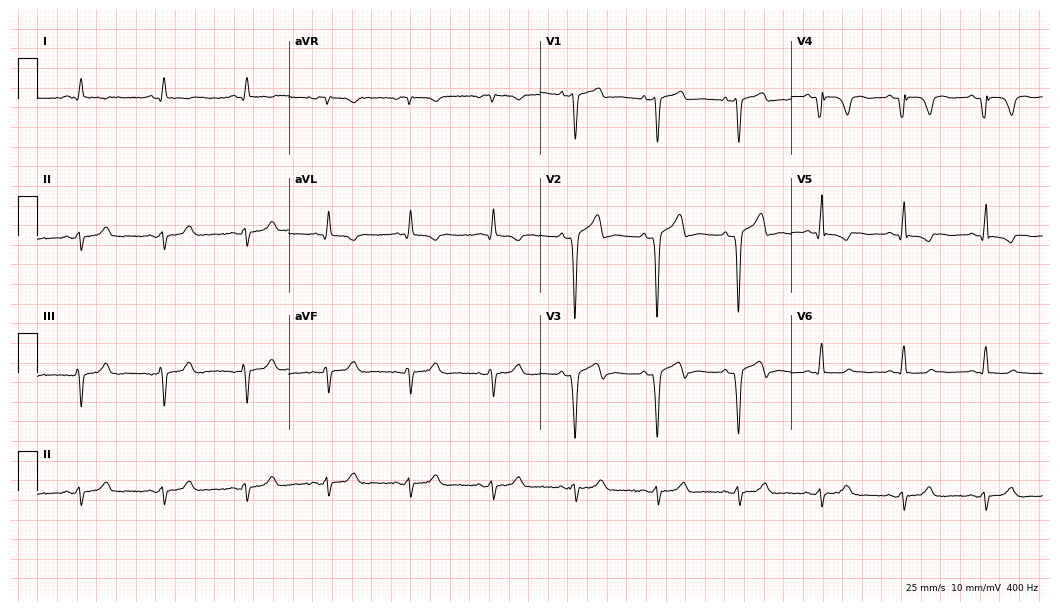
Standard 12-lead ECG recorded from a 69-year-old male (10.2-second recording at 400 Hz). None of these six findings is recorded: first-degree AV block, right bundle branch block, left bundle branch block, sinus bradycardia, atrial fibrillation, sinus tachycardia.